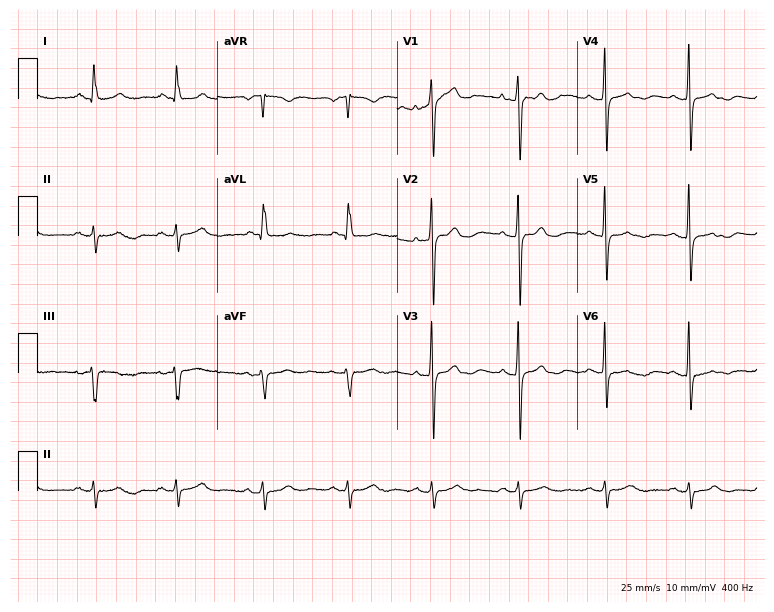
12-lead ECG from a woman, 81 years old. Screened for six findings — first-degree AV block, right bundle branch block (RBBB), left bundle branch block (LBBB), sinus bradycardia, atrial fibrillation (AF), sinus tachycardia — none is recorded.